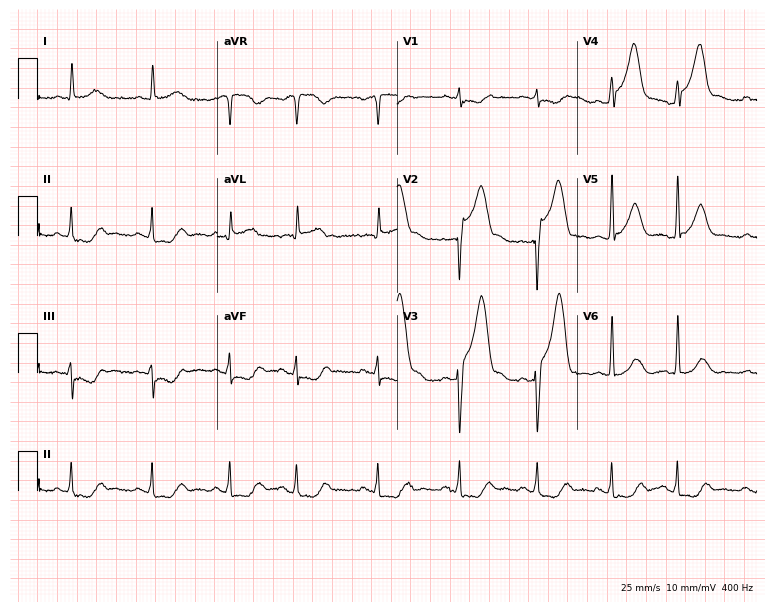
Electrocardiogram (7.3-second recording at 400 Hz), a male, 59 years old. Of the six screened findings (first-degree AV block, right bundle branch block, left bundle branch block, sinus bradycardia, atrial fibrillation, sinus tachycardia), none is recorded. Other findings, if any, are not listed.